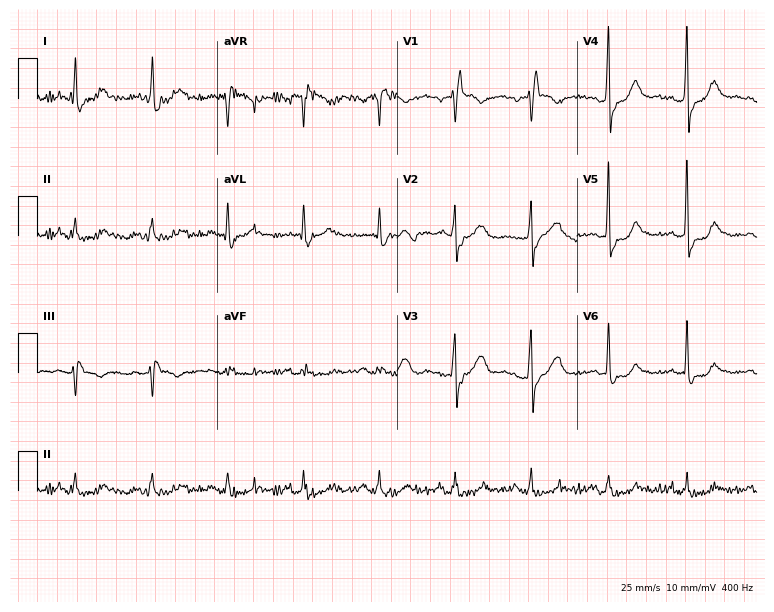
Resting 12-lead electrocardiogram (7.3-second recording at 400 Hz). Patient: a 77-year-old male. The tracing shows right bundle branch block.